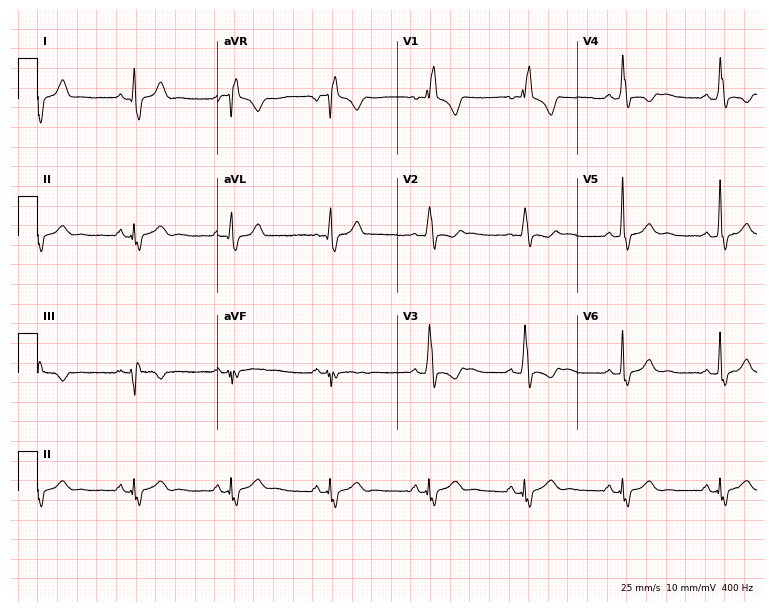
12-lead ECG (7.3-second recording at 400 Hz) from a 39-year-old woman. Findings include right bundle branch block.